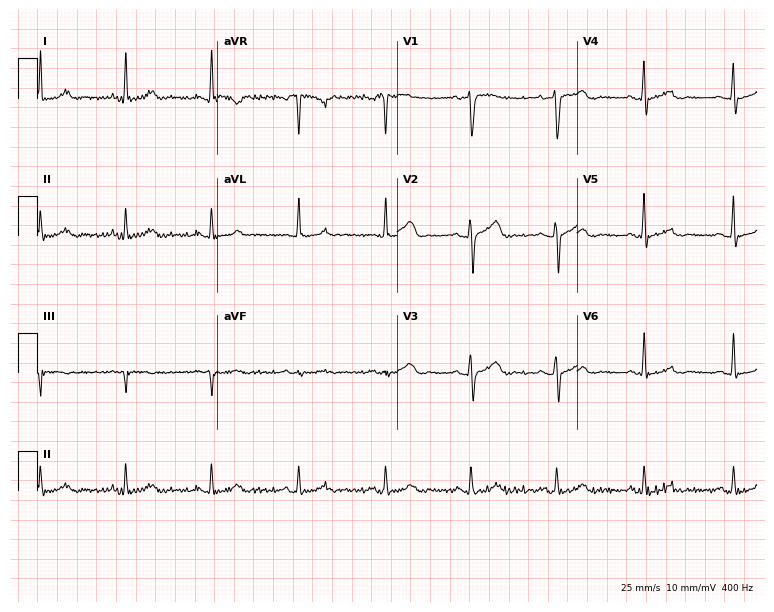
Standard 12-lead ECG recorded from a 36-year-old woman. Read as a normal ECG.